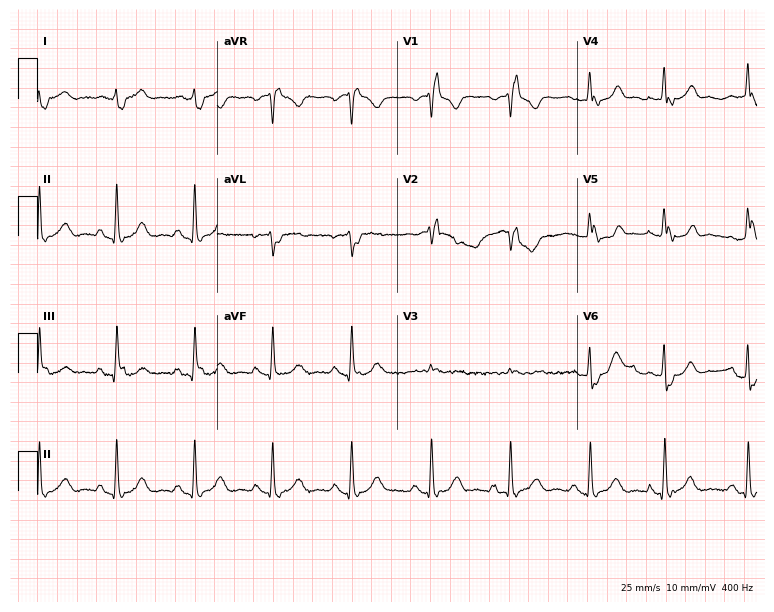
12-lead ECG (7.3-second recording at 400 Hz) from an 80-year-old male. Findings include right bundle branch block.